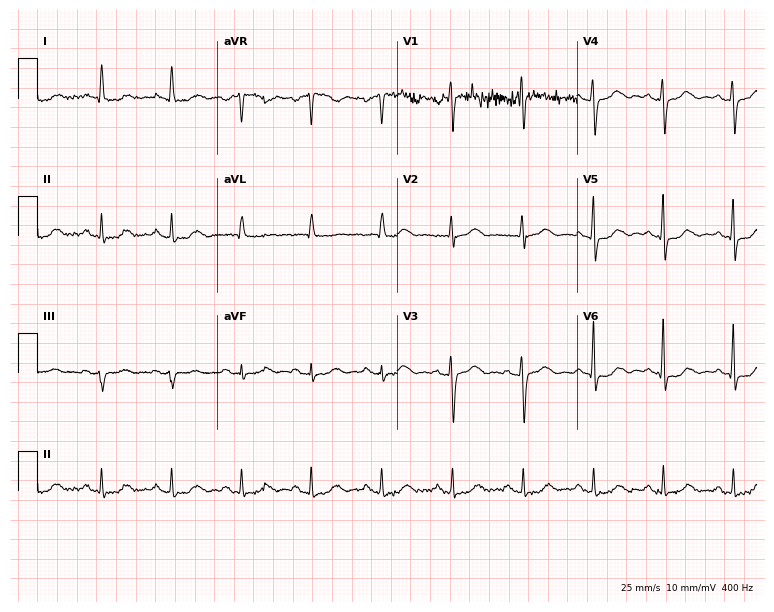
12-lead ECG from a woman, 77 years old. Screened for six findings — first-degree AV block, right bundle branch block, left bundle branch block, sinus bradycardia, atrial fibrillation, sinus tachycardia — none is recorded. Only these six findings were labelled.